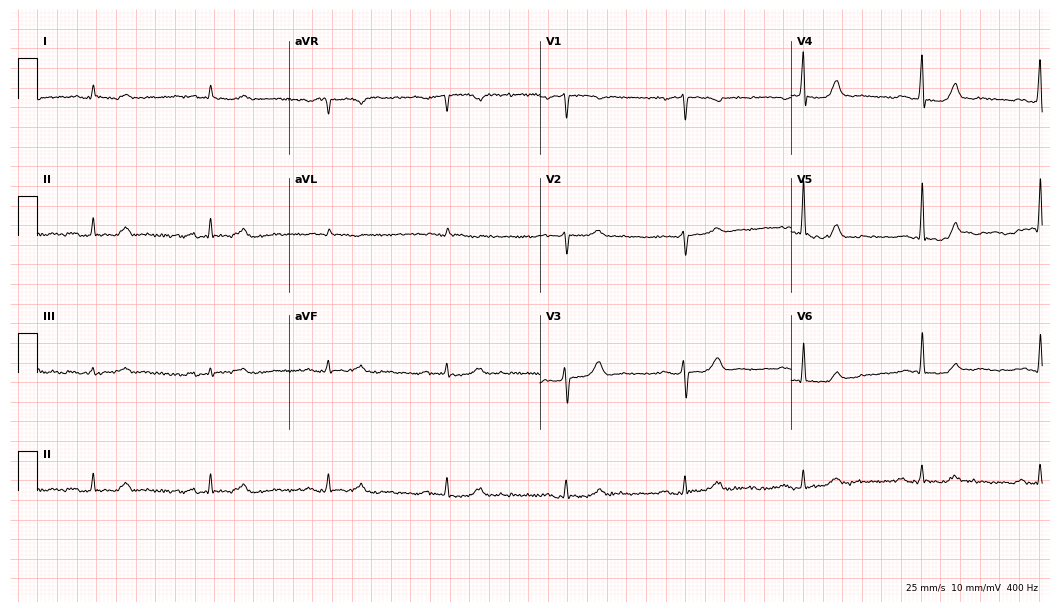
ECG — a male patient, 80 years old. Screened for six findings — first-degree AV block, right bundle branch block, left bundle branch block, sinus bradycardia, atrial fibrillation, sinus tachycardia — none is recorded.